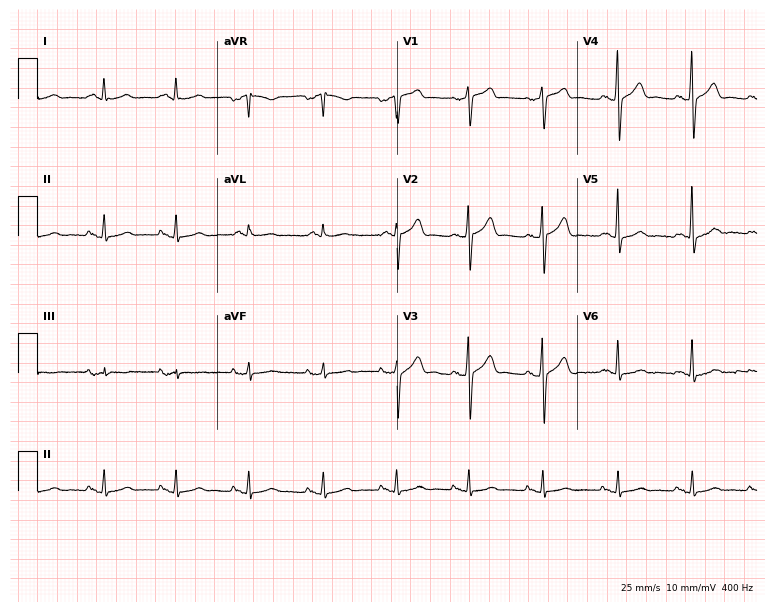
Electrocardiogram (7.3-second recording at 400 Hz), a 64-year-old man. Of the six screened findings (first-degree AV block, right bundle branch block (RBBB), left bundle branch block (LBBB), sinus bradycardia, atrial fibrillation (AF), sinus tachycardia), none is recorded. Findings outside these six are not listed.